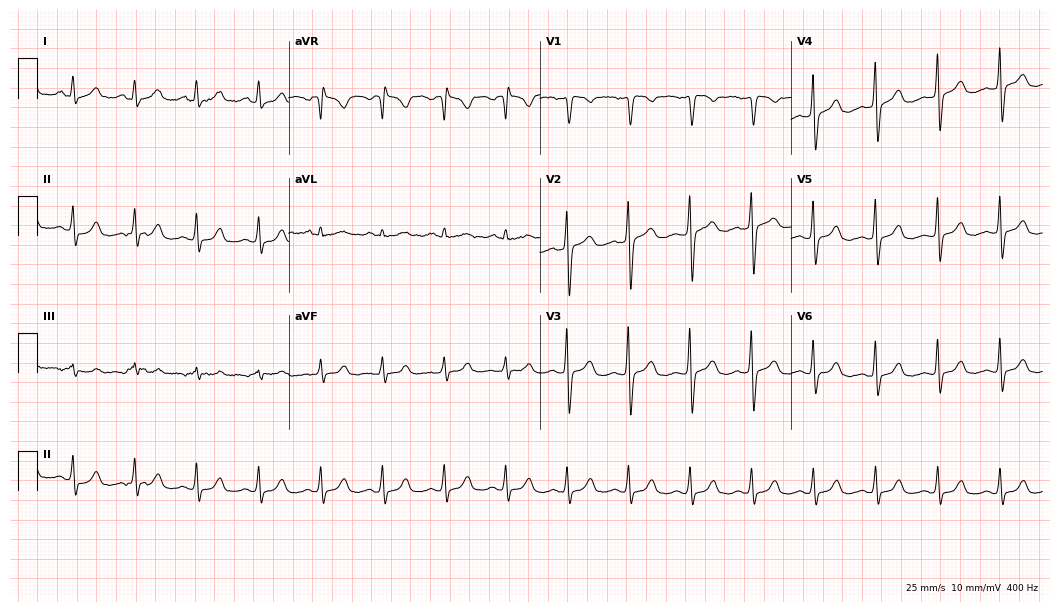
ECG (10.2-second recording at 400 Hz) — a 36-year-old female patient. Labelled as a normal ECG.